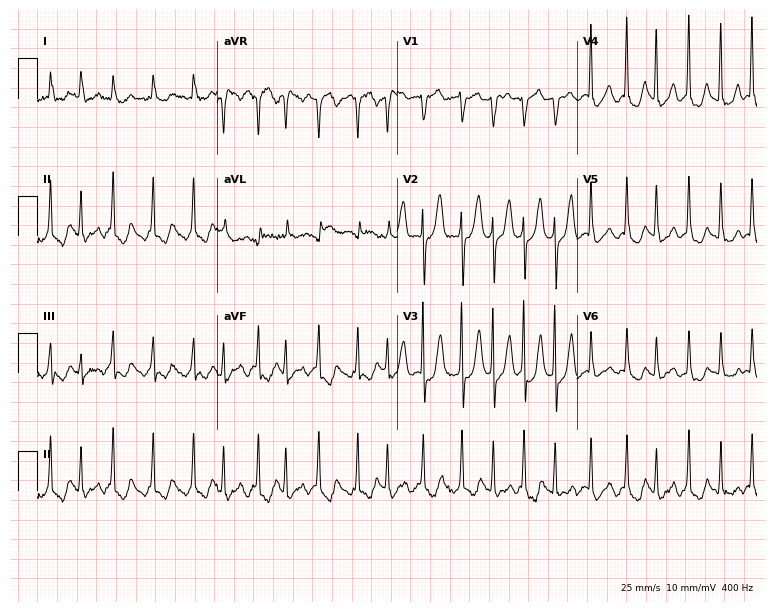
Standard 12-lead ECG recorded from a woman, 83 years old. The tracing shows sinus tachycardia (a sinus rate of 100 beats per minute or more).